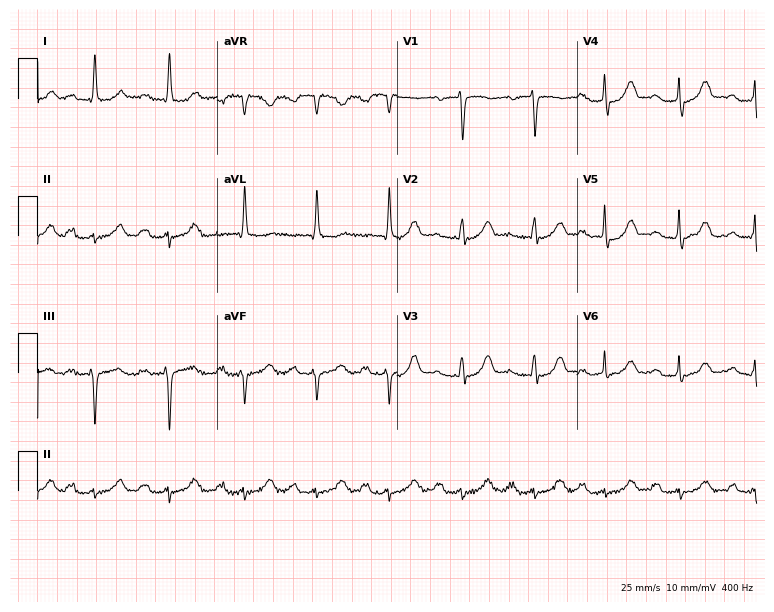
12-lead ECG from a 67-year-old woman. Shows first-degree AV block.